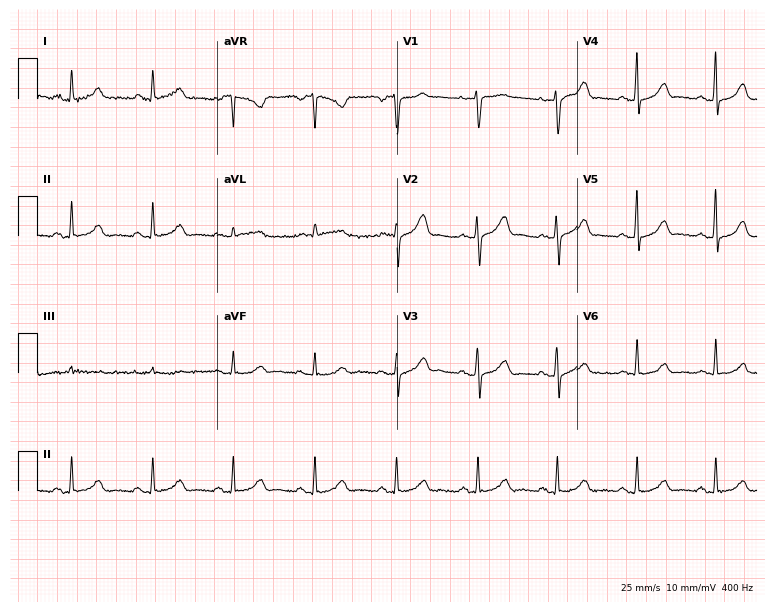
ECG — a female patient, 38 years old. Screened for six findings — first-degree AV block, right bundle branch block (RBBB), left bundle branch block (LBBB), sinus bradycardia, atrial fibrillation (AF), sinus tachycardia — none is recorded.